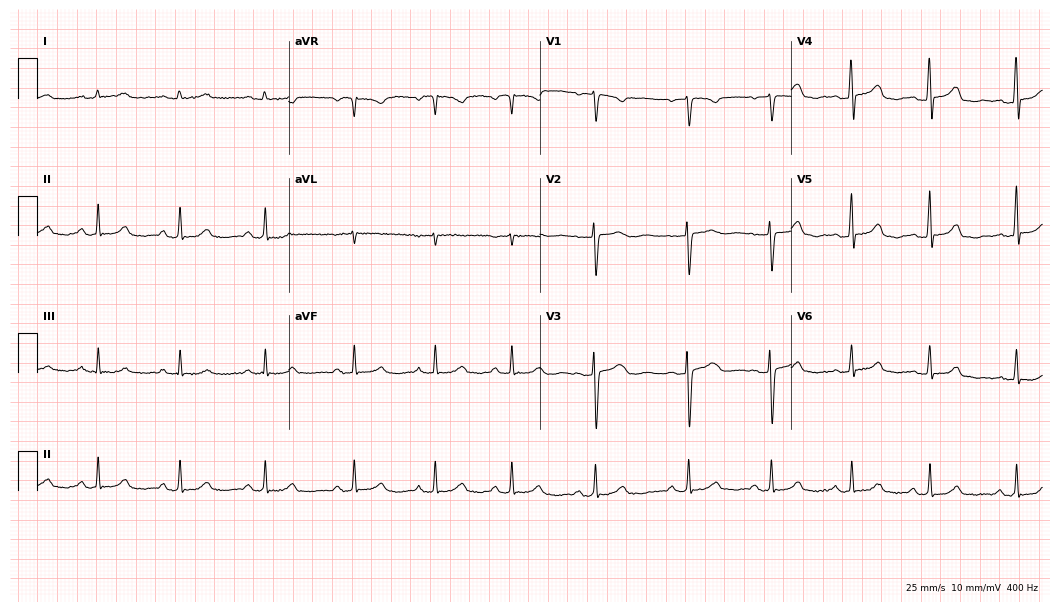
12-lead ECG (10.2-second recording at 400 Hz) from a woman, 29 years old. Labelled as a normal ECG.